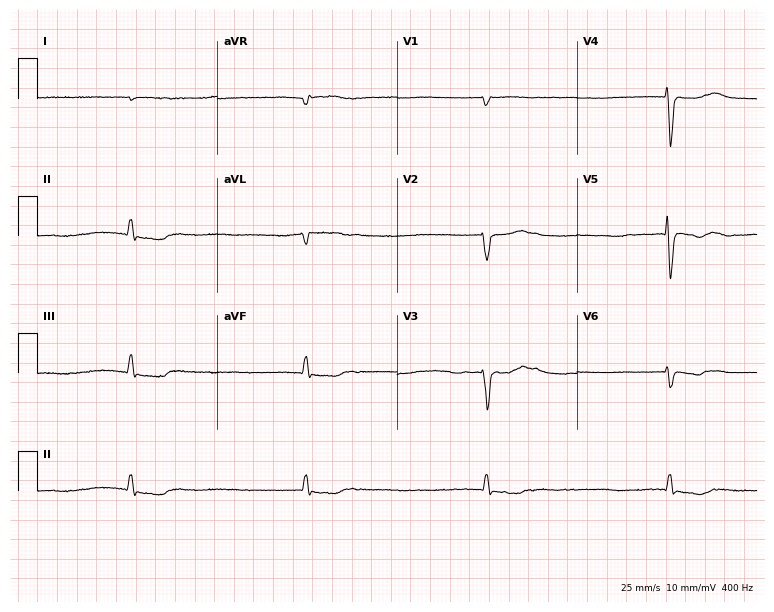
Electrocardiogram (7.3-second recording at 400 Hz), an 83-year-old man. Interpretation includes right bundle branch block (RBBB), atrial fibrillation (AF).